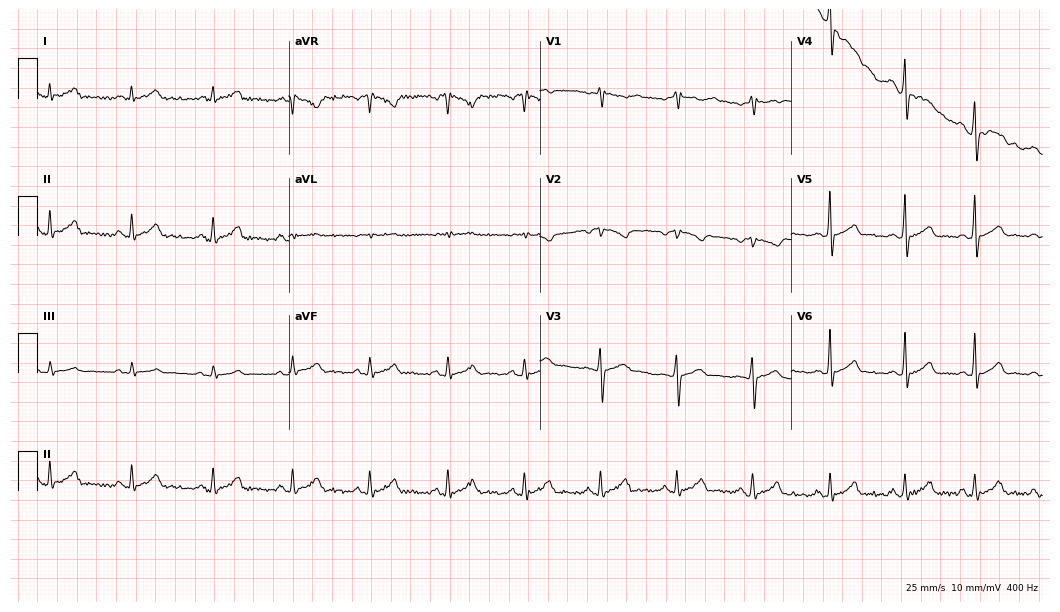
Electrocardiogram, a male, 28 years old. Overall reading on record: normal ECG.